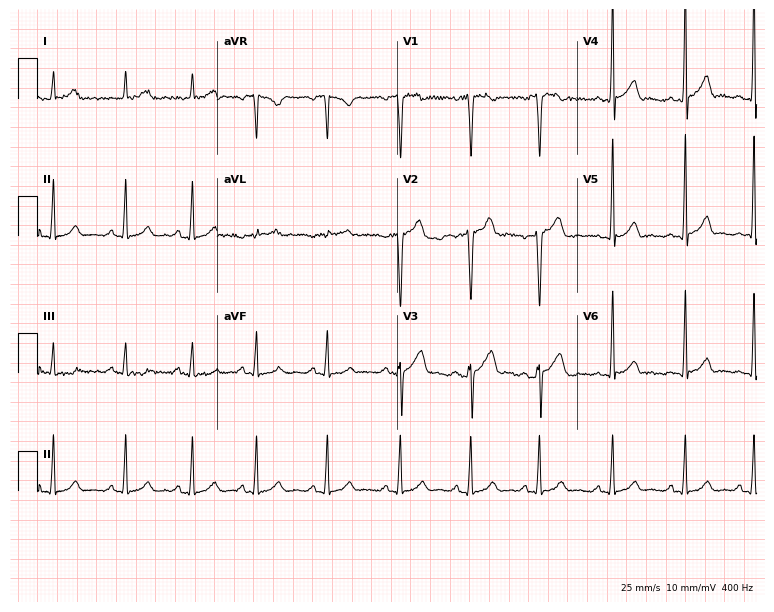
12-lead ECG from a male, 23 years old. Labelled as a normal ECG.